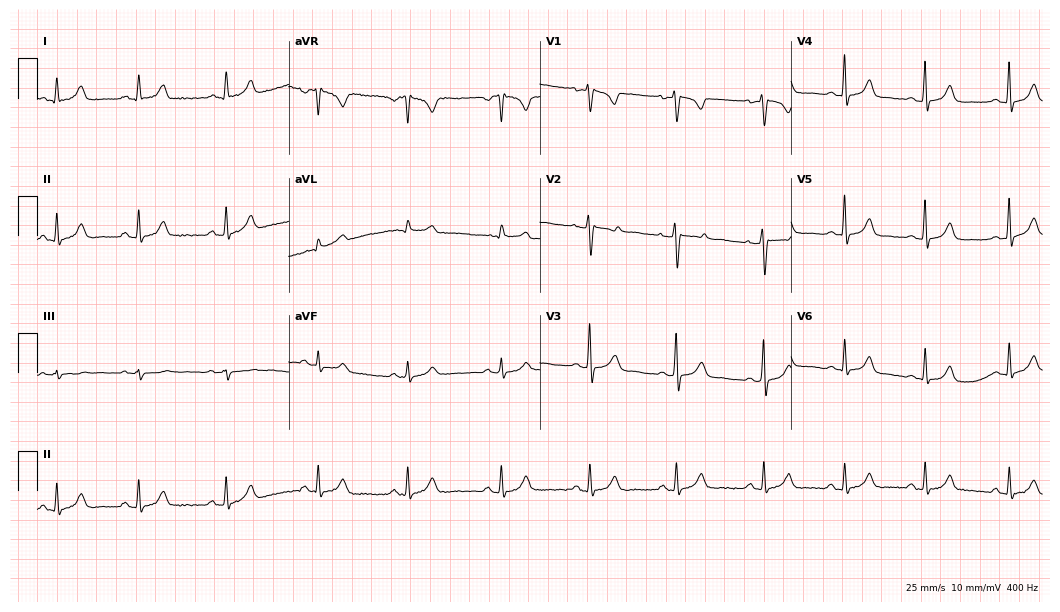
Standard 12-lead ECG recorded from a 33-year-old female. Read as a normal ECG.